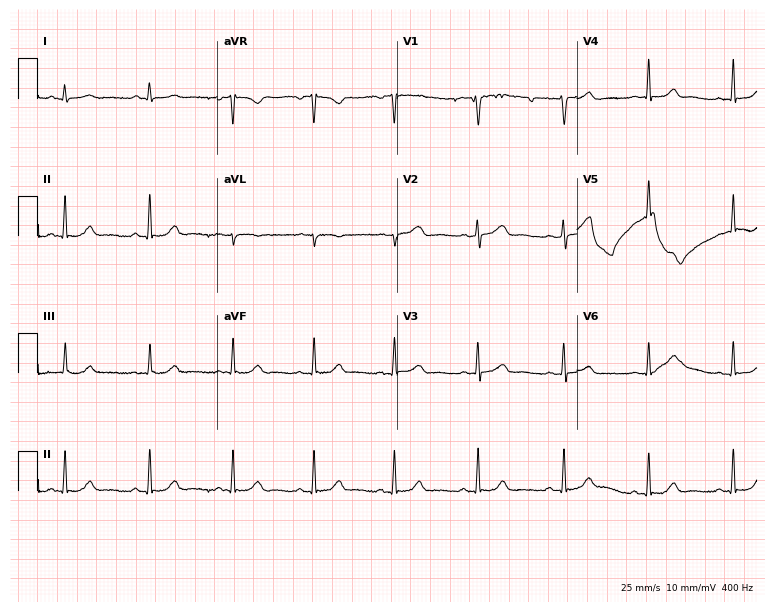
Standard 12-lead ECG recorded from a female, 46 years old. None of these six findings is recorded: first-degree AV block, right bundle branch block, left bundle branch block, sinus bradycardia, atrial fibrillation, sinus tachycardia. Findings outside these six are not listed.